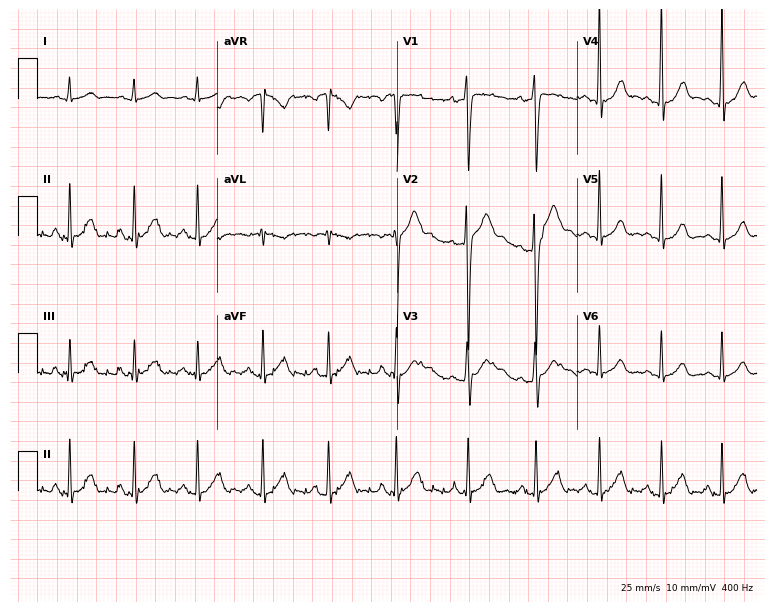
12-lead ECG from a 26-year-old male patient (7.3-second recording at 400 Hz). Recorded interpretation: within normal limits.